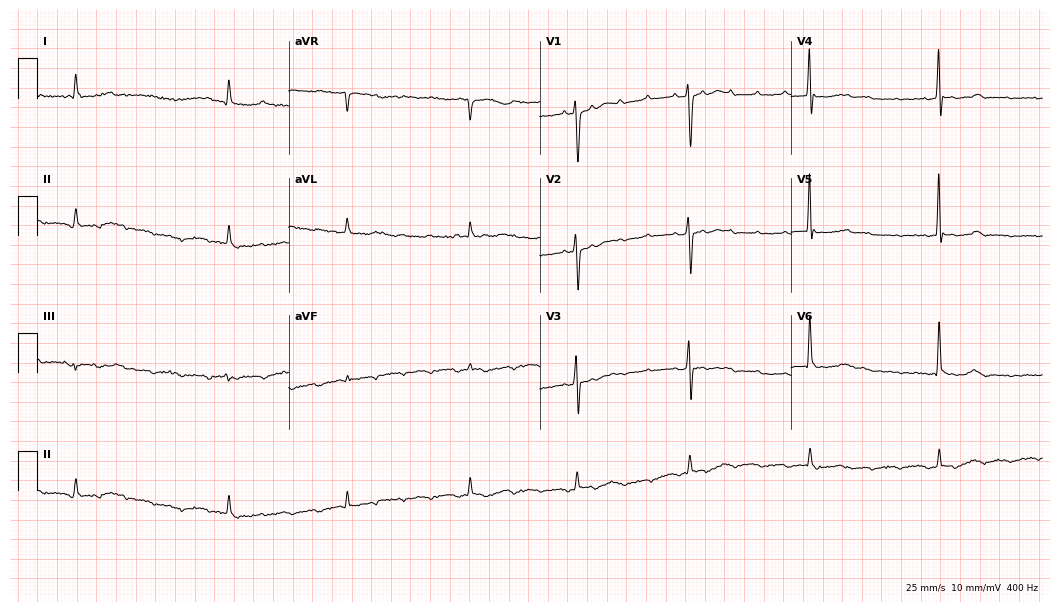
ECG — a 78-year-old male. Screened for six findings — first-degree AV block, right bundle branch block (RBBB), left bundle branch block (LBBB), sinus bradycardia, atrial fibrillation (AF), sinus tachycardia — none is recorded. Only these six findings were labelled.